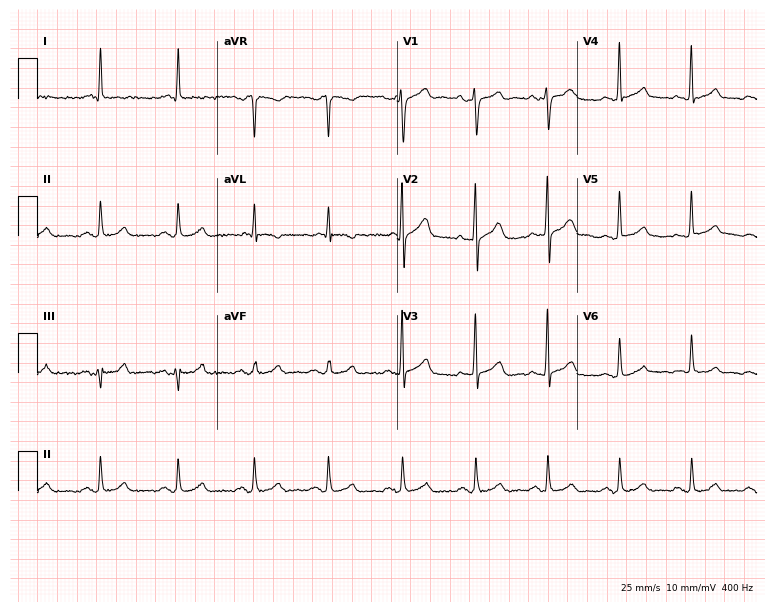
Standard 12-lead ECG recorded from an 82-year-old male patient. None of these six findings is recorded: first-degree AV block, right bundle branch block (RBBB), left bundle branch block (LBBB), sinus bradycardia, atrial fibrillation (AF), sinus tachycardia.